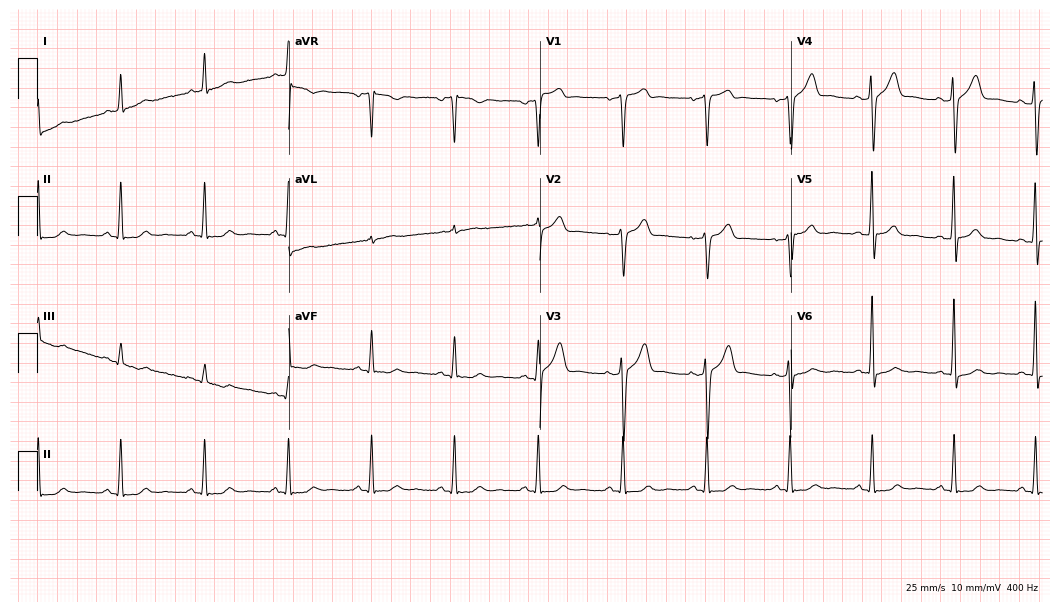
ECG — a man, 66 years old. Screened for six findings — first-degree AV block, right bundle branch block, left bundle branch block, sinus bradycardia, atrial fibrillation, sinus tachycardia — none is recorded.